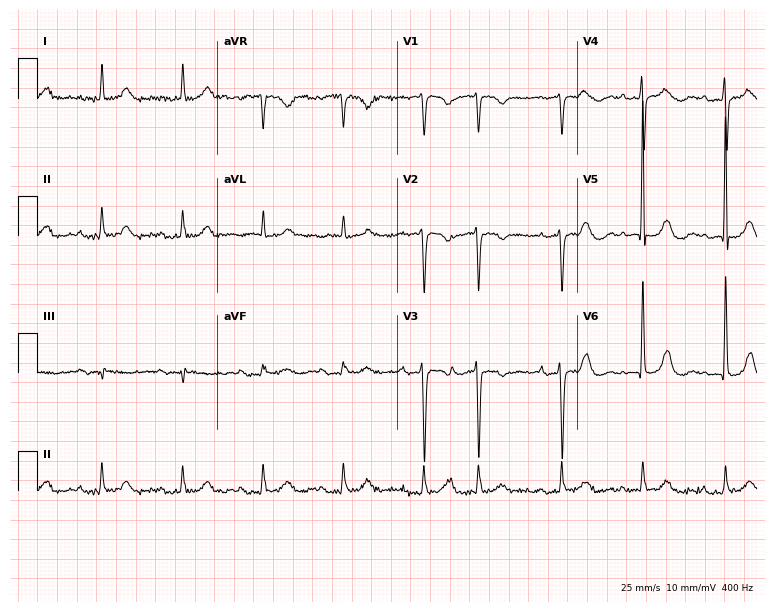
Standard 12-lead ECG recorded from a woman, 86 years old. None of these six findings is recorded: first-degree AV block, right bundle branch block (RBBB), left bundle branch block (LBBB), sinus bradycardia, atrial fibrillation (AF), sinus tachycardia.